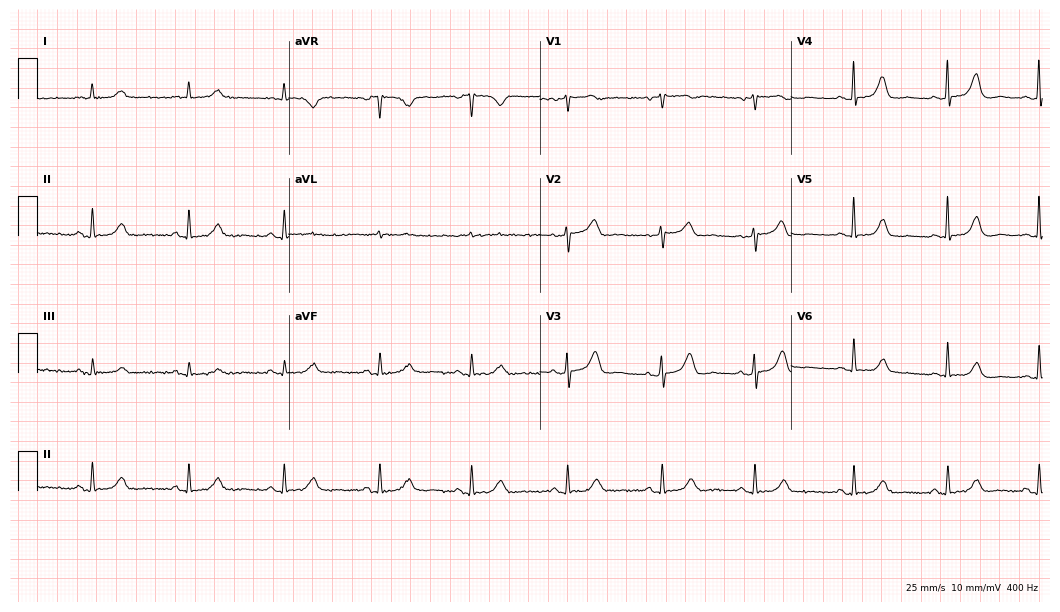
12-lead ECG from an 80-year-old female. Labelled as a normal ECG.